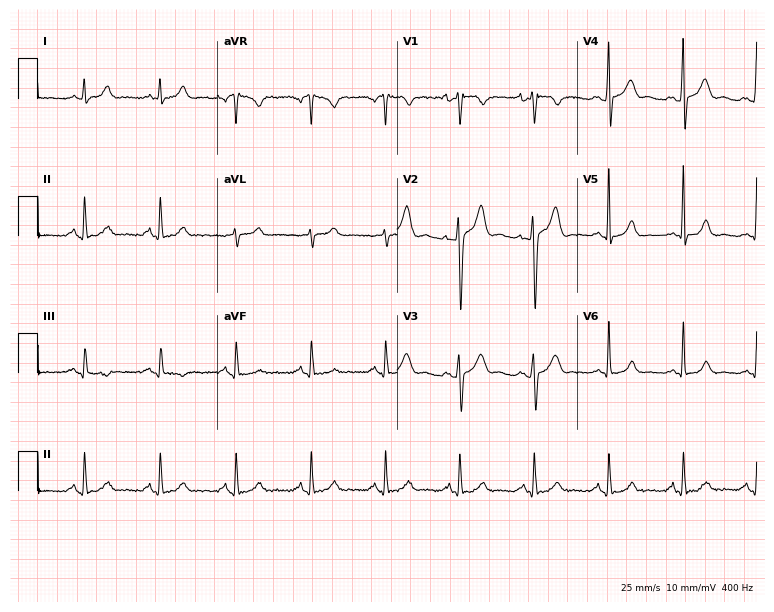
Electrocardiogram, a 42-year-old man. Overall reading on record: normal ECG.